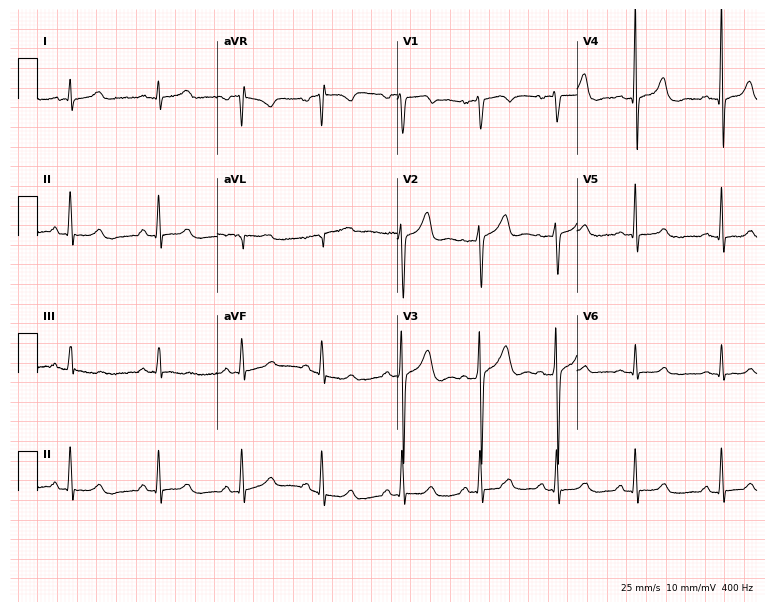
12-lead ECG from a 30-year-old man. Labelled as a normal ECG.